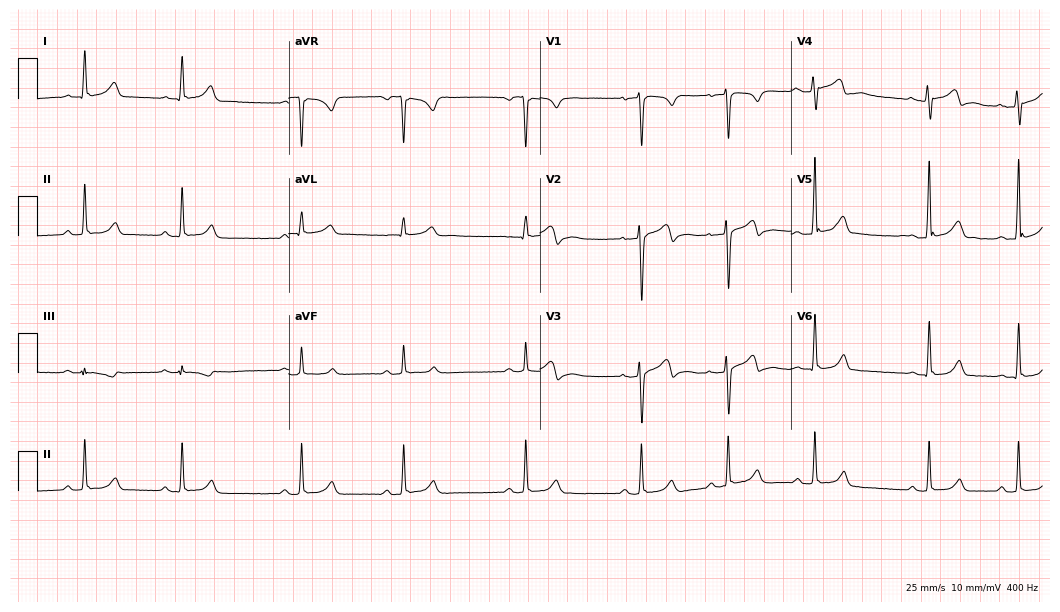
Electrocardiogram, an 18-year-old man. Overall reading on record: normal ECG.